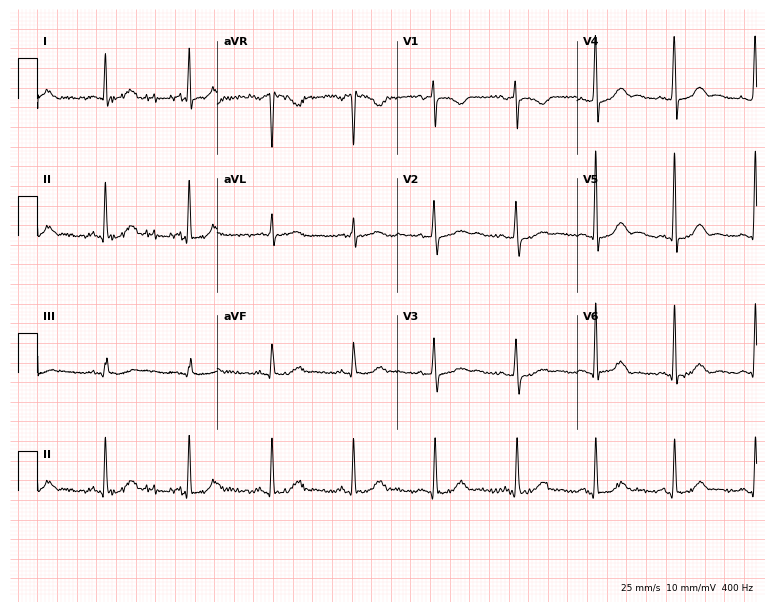
ECG (7.3-second recording at 400 Hz) — a 61-year-old female patient. Screened for six findings — first-degree AV block, right bundle branch block, left bundle branch block, sinus bradycardia, atrial fibrillation, sinus tachycardia — none is recorded. Findings outside these six are not listed.